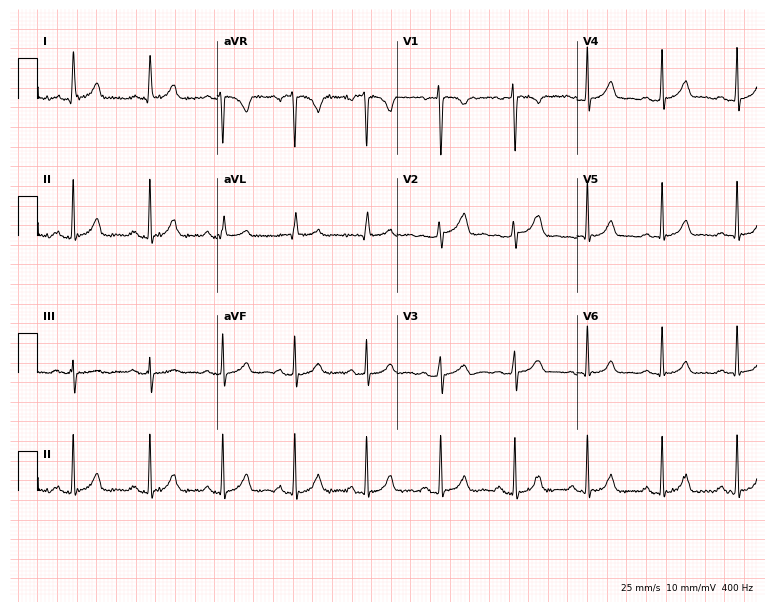
12-lead ECG (7.3-second recording at 400 Hz) from a 17-year-old woman. Labelled as a normal ECG.